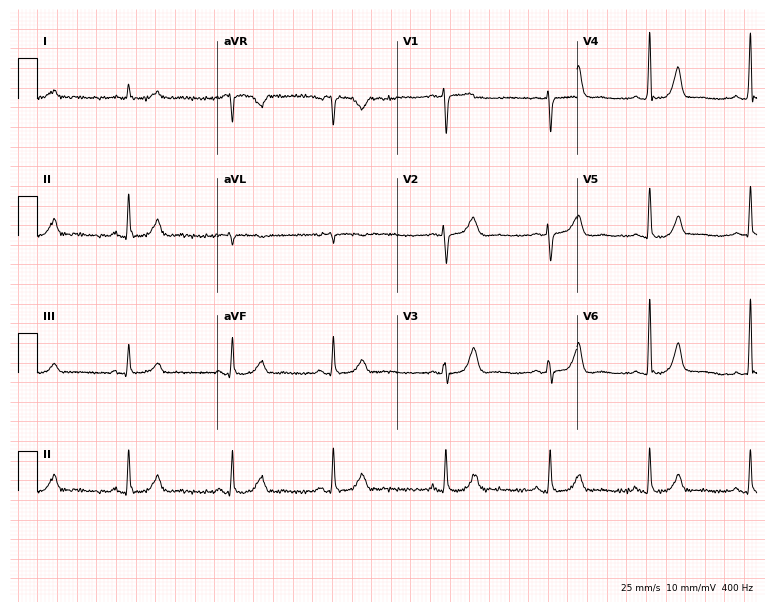
Standard 12-lead ECG recorded from a woman, 45 years old. None of these six findings is recorded: first-degree AV block, right bundle branch block (RBBB), left bundle branch block (LBBB), sinus bradycardia, atrial fibrillation (AF), sinus tachycardia.